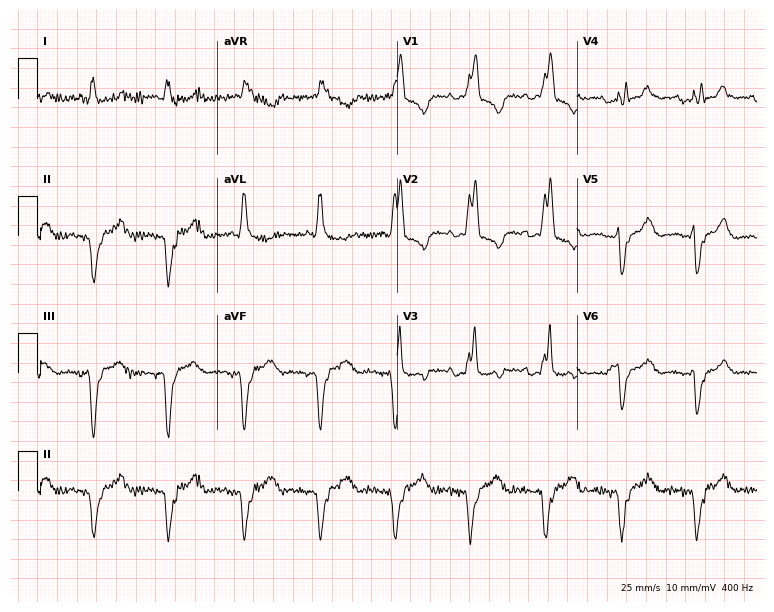
Standard 12-lead ECG recorded from a male patient, 74 years old (7.3-second recording at 400 Hz). The tracing shows right bundle branch block (RBBB).